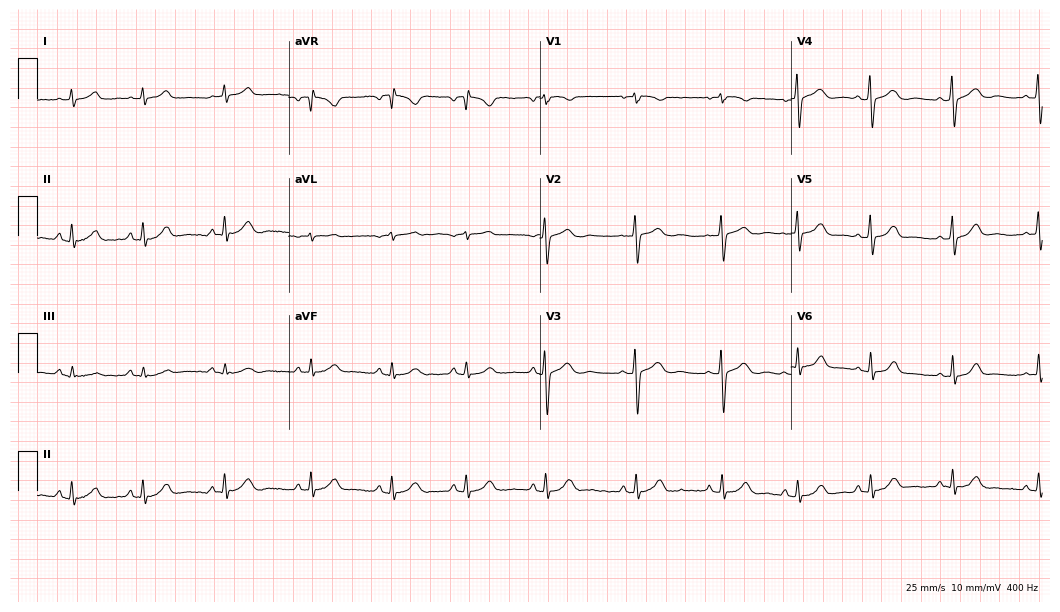
12-lead ECG (10.2-second recording at 400 Hz) from a woman, 19 years old. Labelled as a normal ECG.